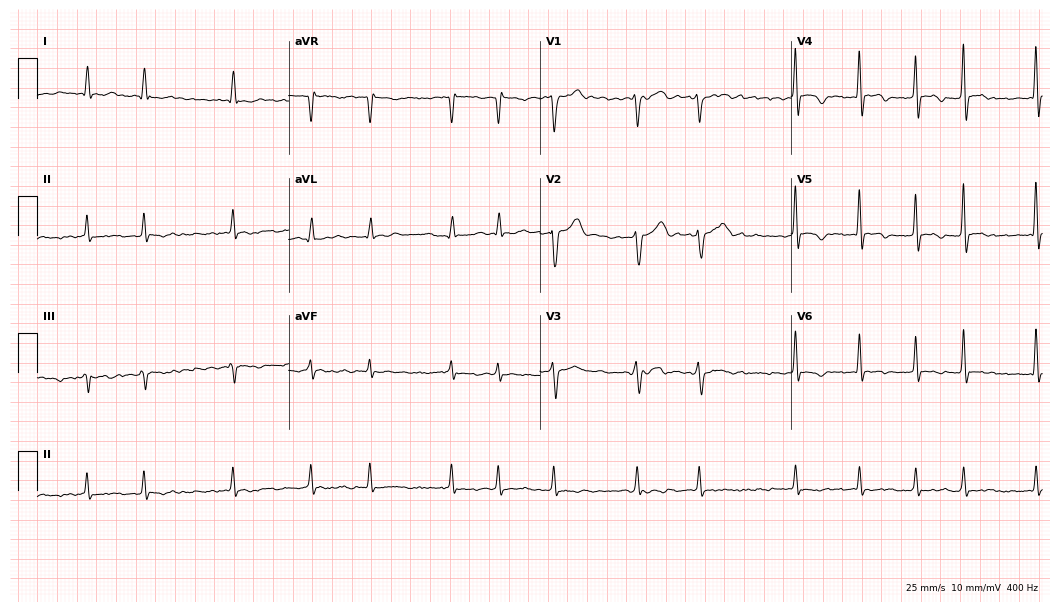
ECG (10.2-second recording at 400 Hz) — a 56-year-old man. Findings include atrial fibrillation (AF).